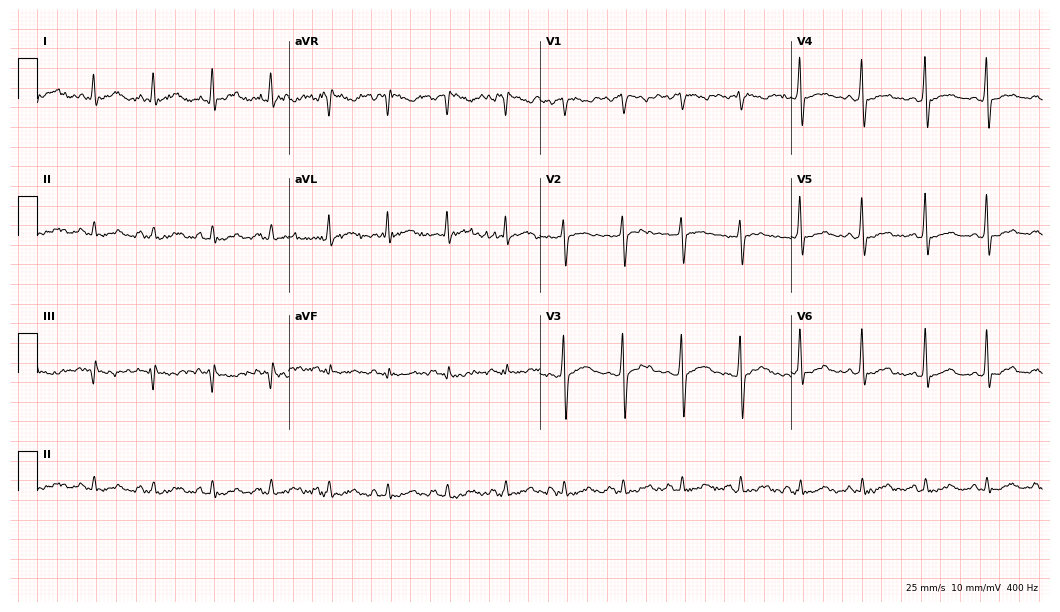
12-lead ECG from a 51-year-old male. No first-degree AV block, right bundle branch block, left bundle branch block, sinus bradycardia, atrial fibrillation or sinus tachycardia recorded for this tracing. Findings outside these six are not listed.